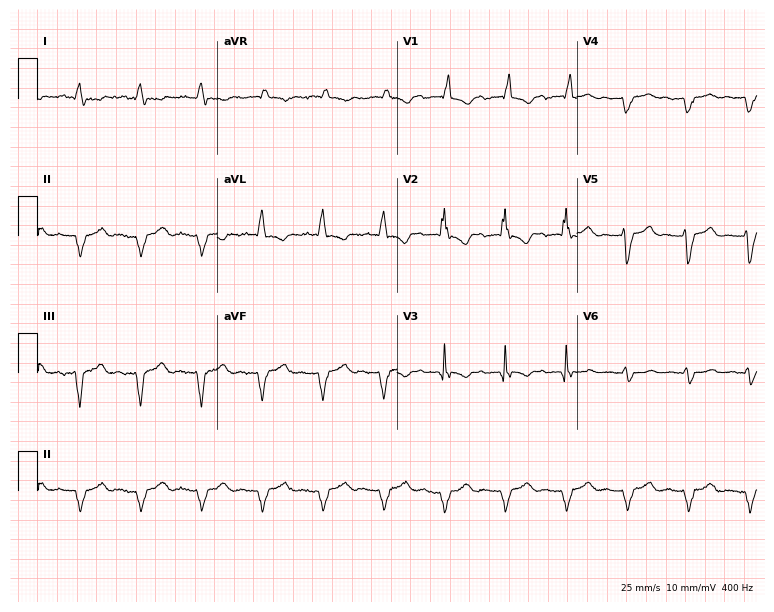
12-lead ECG (7.3-second recording at 400 Hz) from an 87-year-old female. Screened for six findings — first-degree AV block, right bundle branch block (RBBB), left bundle branch block (LBBB), sinus bradycardia, atrial fibrillation (AF), sinus tachycardia — none is recorded.